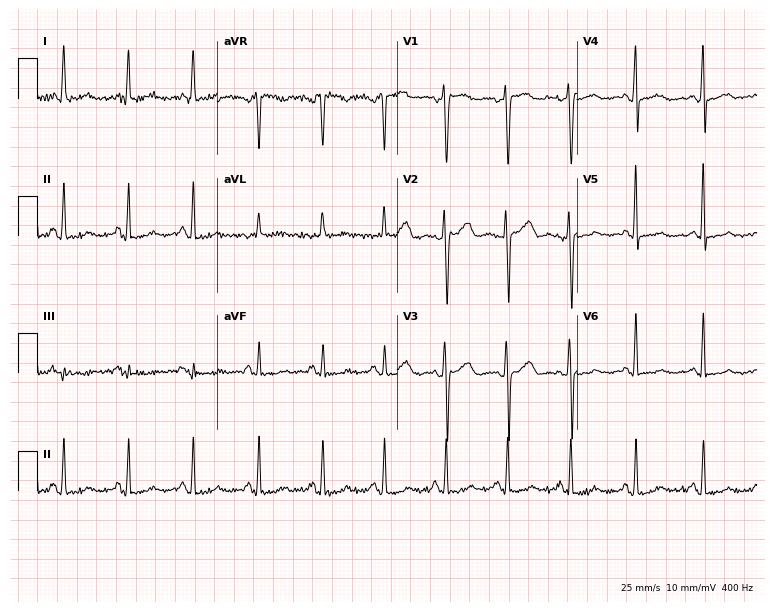
12-lead ECG from a 35-year-old female. Screened for six findings — first-degree AV block, right bundle branch block, left bundle branch block, sinus bradycardia, atrial fibrillation, sinus tachycardia — none is recorded.